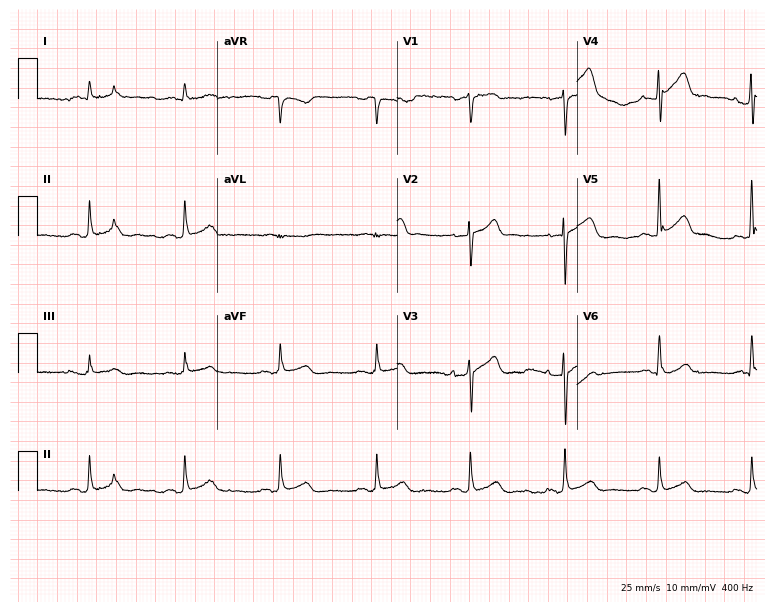
Resting 12-lead electrocardiogram (7.3-second recording at 400 Hz). Patient: a man, 65 years old. None of these six findings is recorded: first-degree AV block, right bundle branch block, left bundle branch block, sinus bradycardia, atrial fibrillation, sinus tachycardia. Other findings, if any, are not listed.